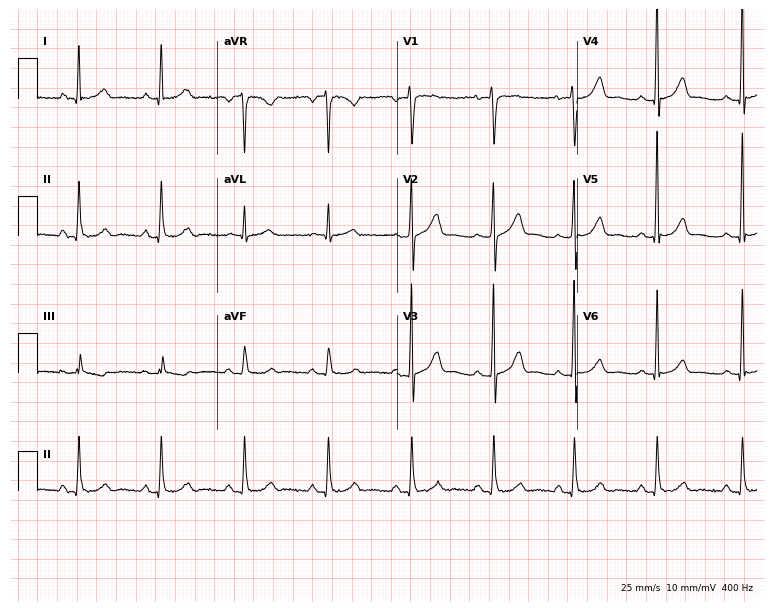
12-lead ECG from a male patient, 50 years old. Recorded interpretation: within normal limits.